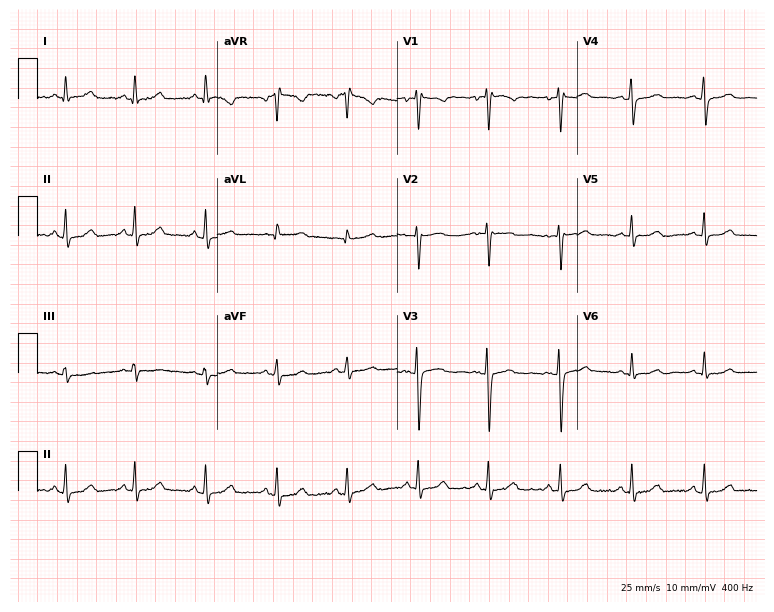
Electrocardiogram, a 44-year-old female patient. Of the six screened findings (first-degree AV block, right bundle branch block (RBBB), left bundle branch block (LBBB), sinus bradycardia, atrial fibrillation (AF), sinus tachycardia), none is recorded.